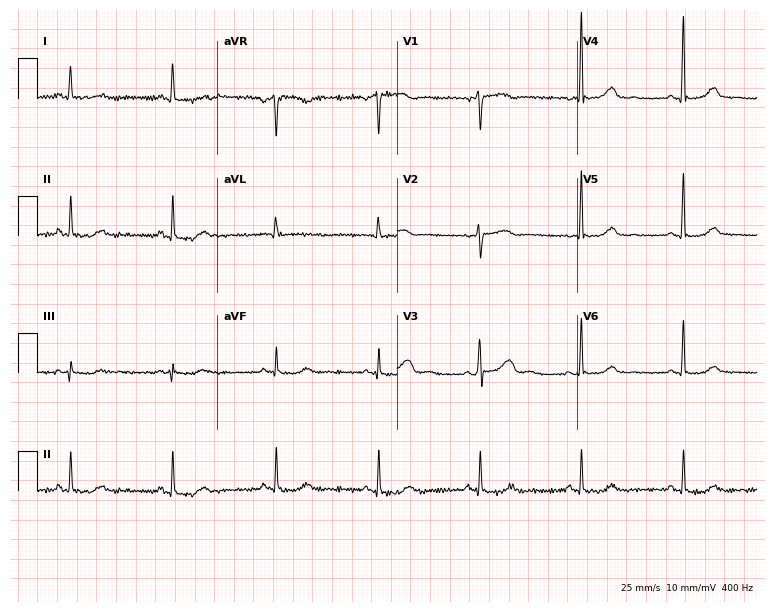
Standard 12-lead ECG recorded from a 50-year-old female. Read as a normal ECG.